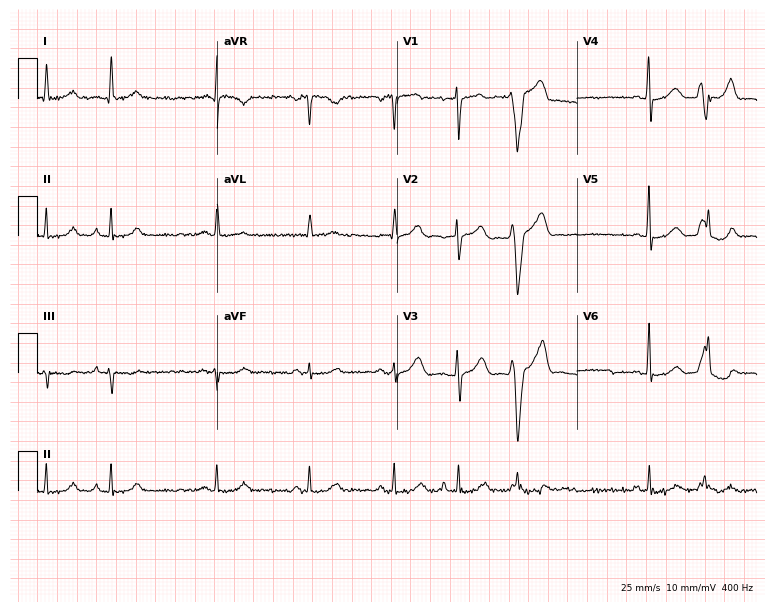
12-lead ECG from a woman, 56 years old. Screened for six findings — first-degree AV block, right bundle branch block, left bundle branch block, sinus bradycardia, atrial fibrillation, sinus tachycardia — none is recorded. Other findings, if any, are not listed.